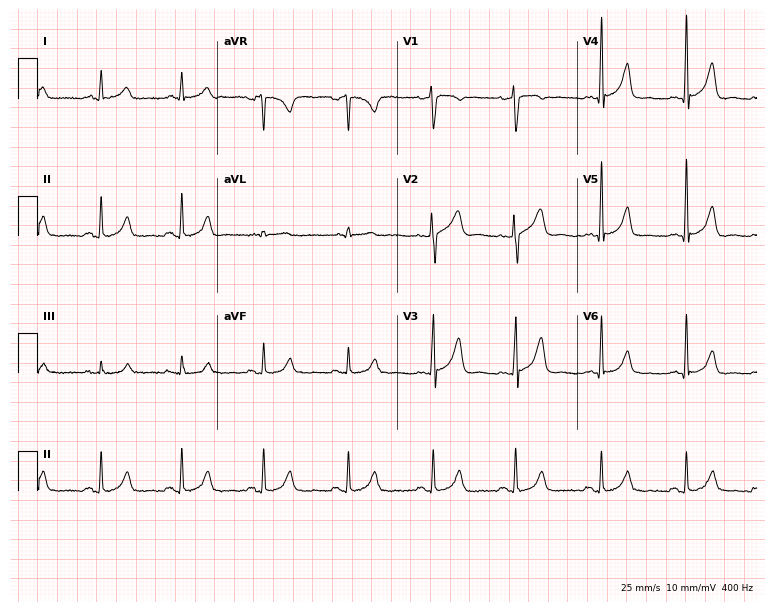
12-lead ECG from a 50-year-old female patient. Labelled as a normal ECG.